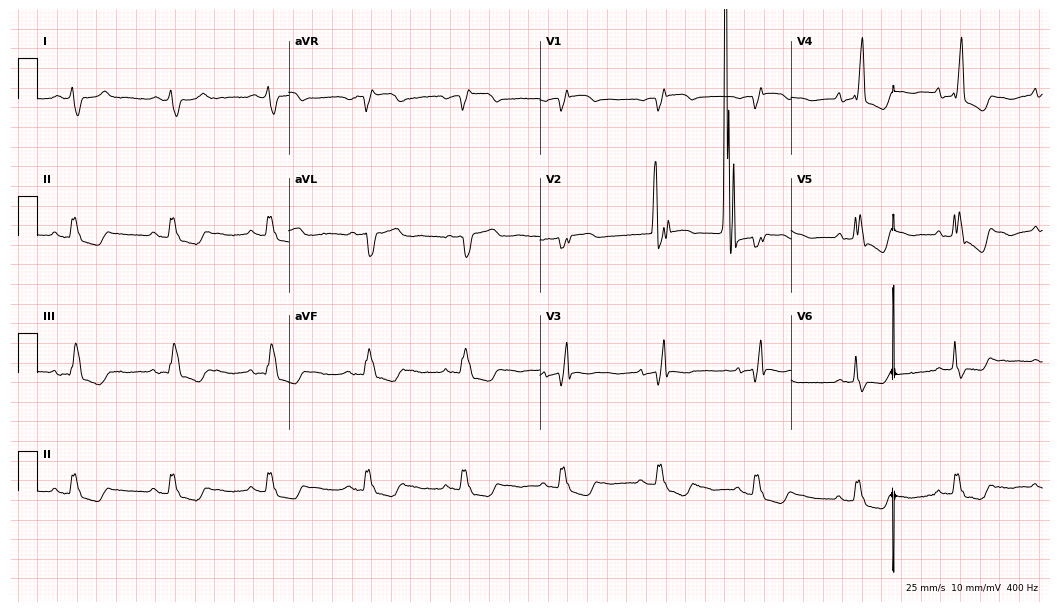
ECG — a woman, 69 years old. Findings include right bundle branch block (RBBB).